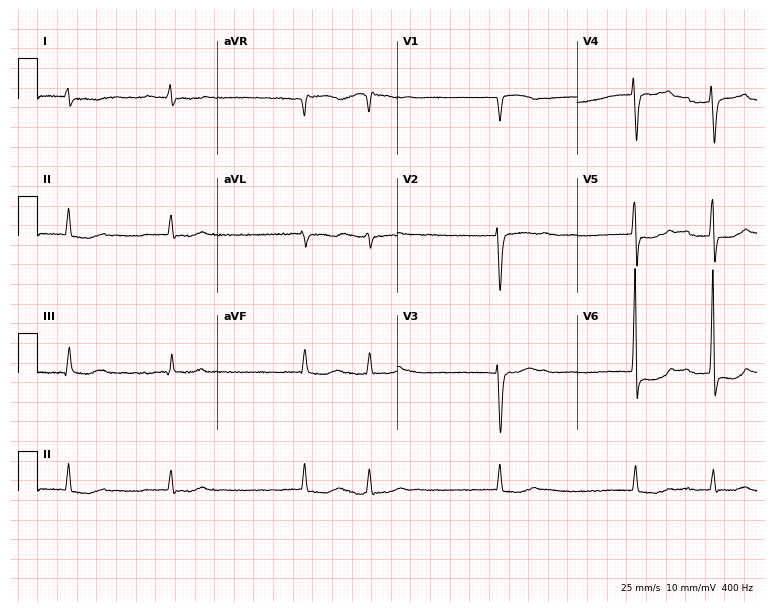
Standard 12-lead ECG recorded from a female, 79 years old (7.3-second recording at 400 Hz). The tracing shows atrial fibrillation (AF).